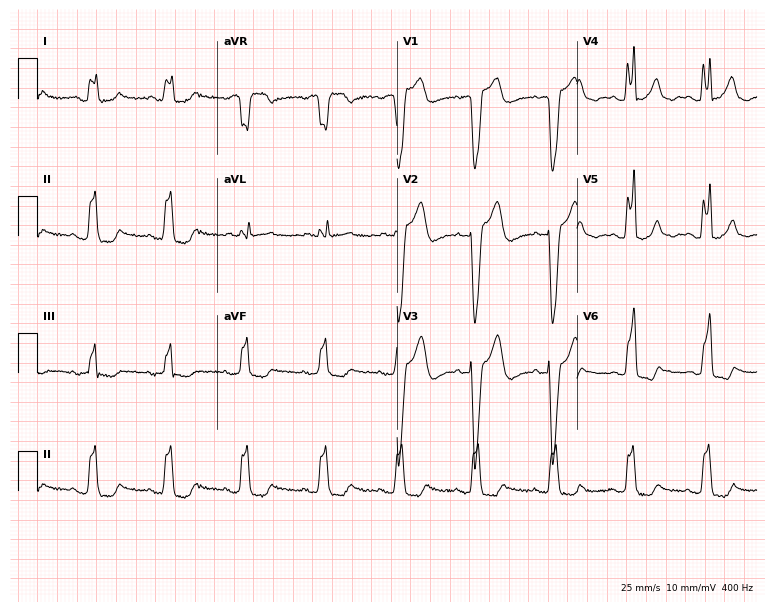
Electrocardiogram (7.3-second recording at 400 Hz), a 77-year-old female patient. Interpretation includes left bundle branch block.